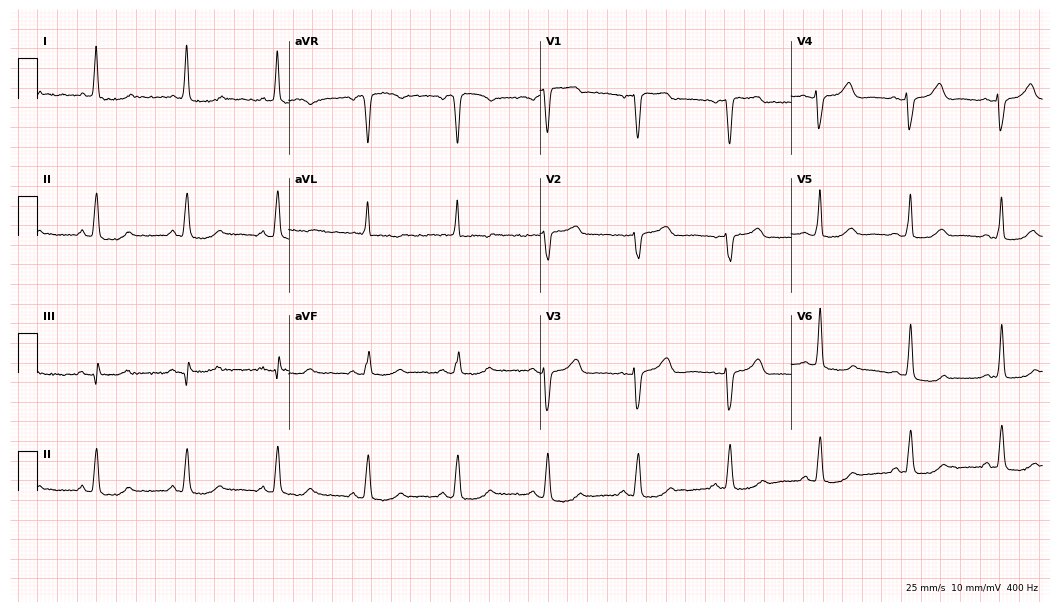
Electrocardiogram, a female patient, 80 years old. Of the six screened findings (first-degree AV block, right bundle branch block, left bundle branch block, sinus bradycardia, atrial fibrillation, sinus tachycardia), none is recorded.